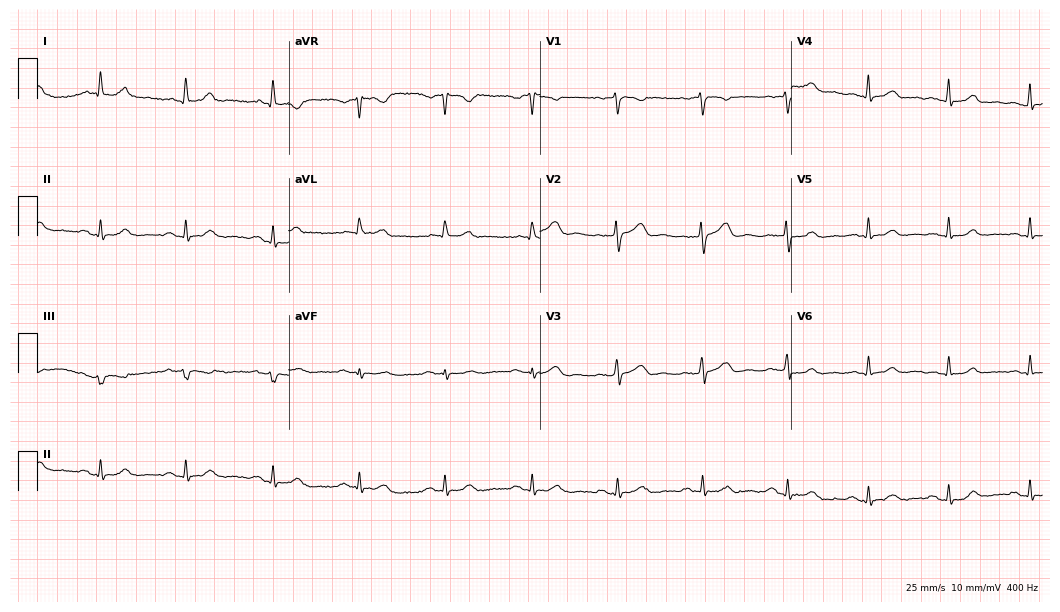
12-lead ECG from a 35-year-old woman. Labelled as a normal ECG.